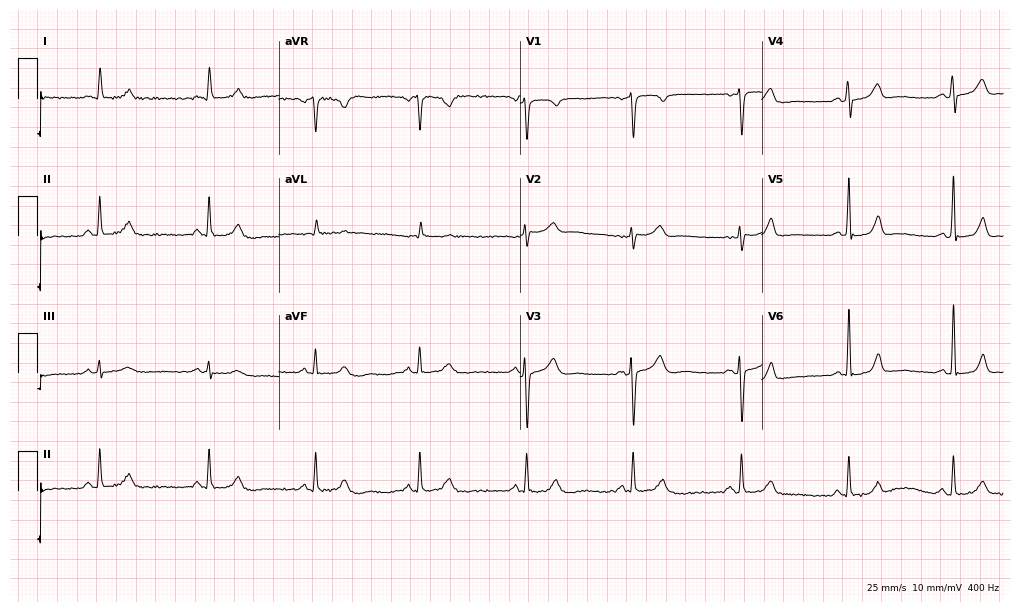
ECG (9.8-second recording at 400 Hz) — a woman, 50 years old. Labelled as a normal ECG.